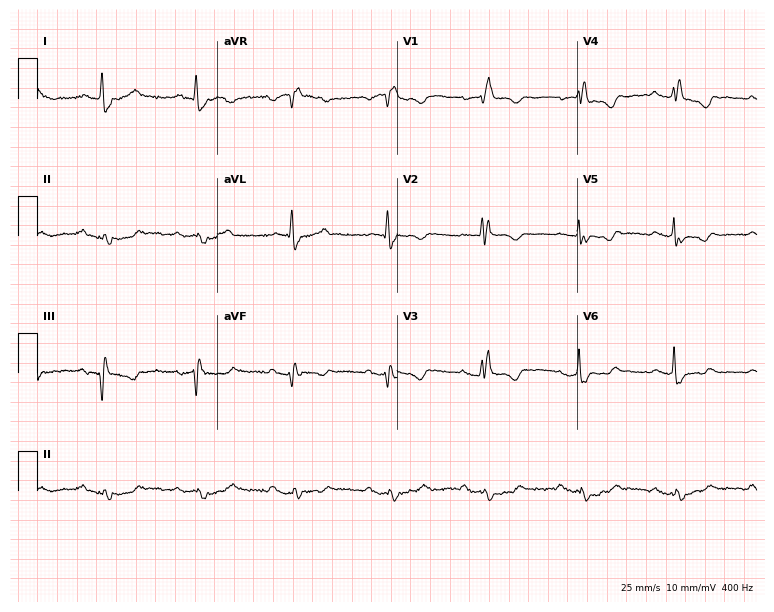
12-lead ECG from a female, 70 years old. Findings include right bundle branch block.